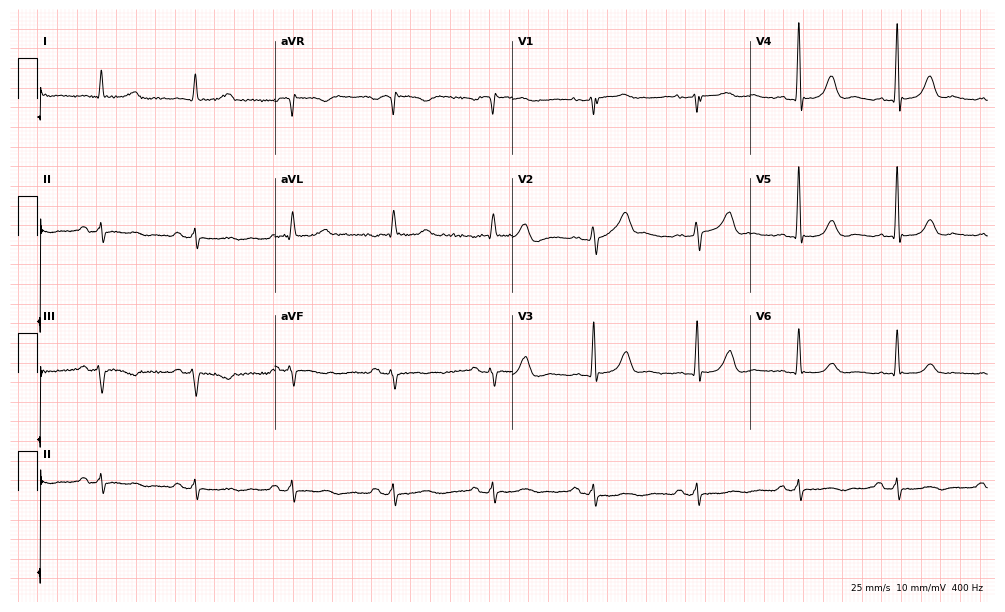
Standard 12-lead ECG recorded from a 79-year-old female patient. Read as a normal ECG.